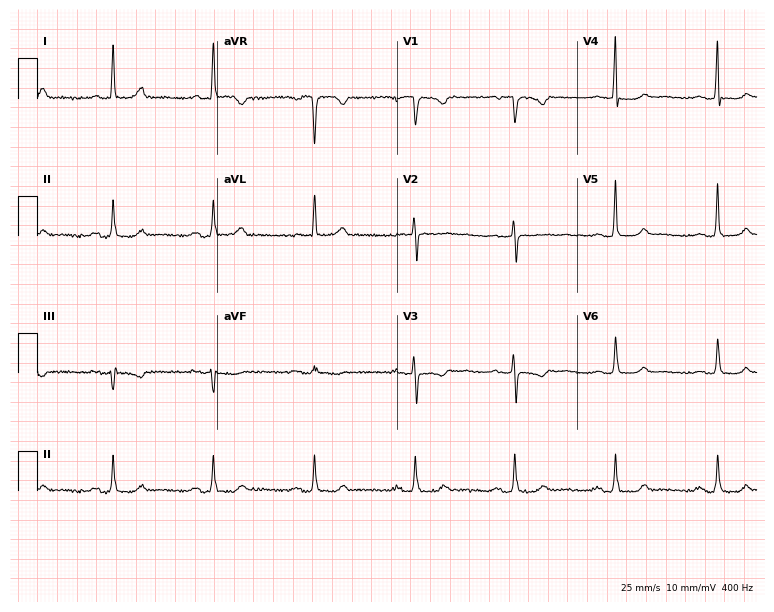
Electrocardiogram, a 76-year-old female patient. Overall reading on record: normal ECG.